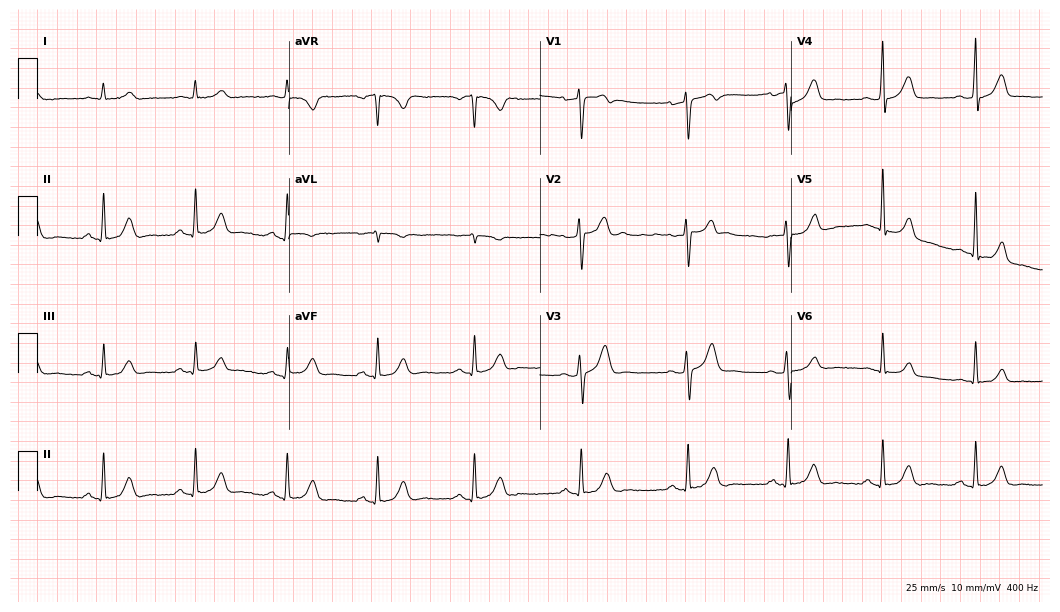
Electrocardiogram, a 57-year-old man. Overall reading on record: normal ECG.